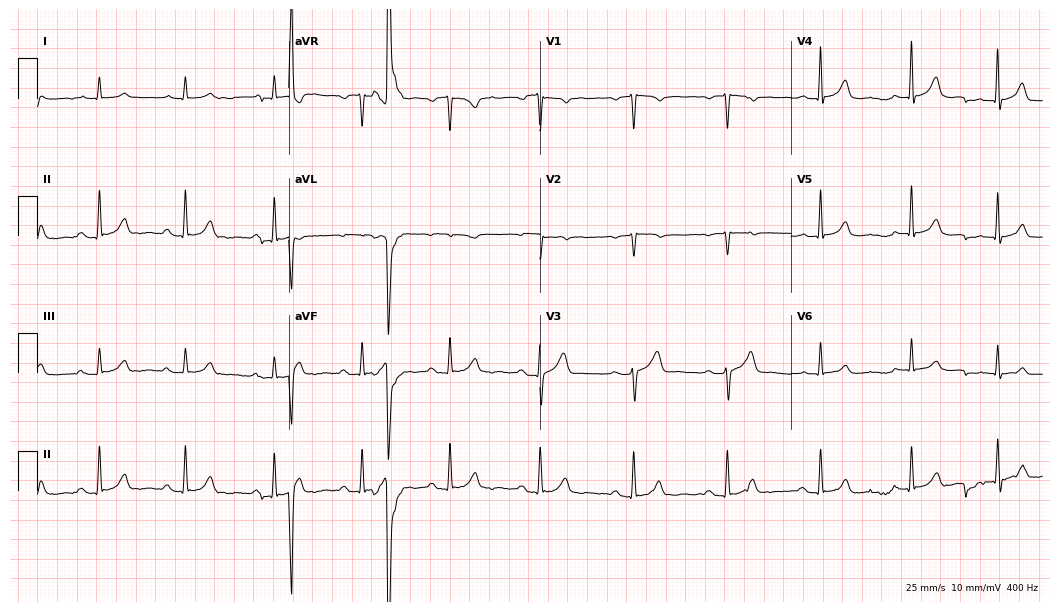
Resting 12-lead electrocardiogram (10.2-second recording at 400 Hz). Patient: a 70-year-old male. None of these six findings is recorded: first-degree AV block, right bundle branch block (RBBB), left bundle branch block (LBBB), sinus bradycardia, atrial fibrillation (AF), sinus tachycardia.